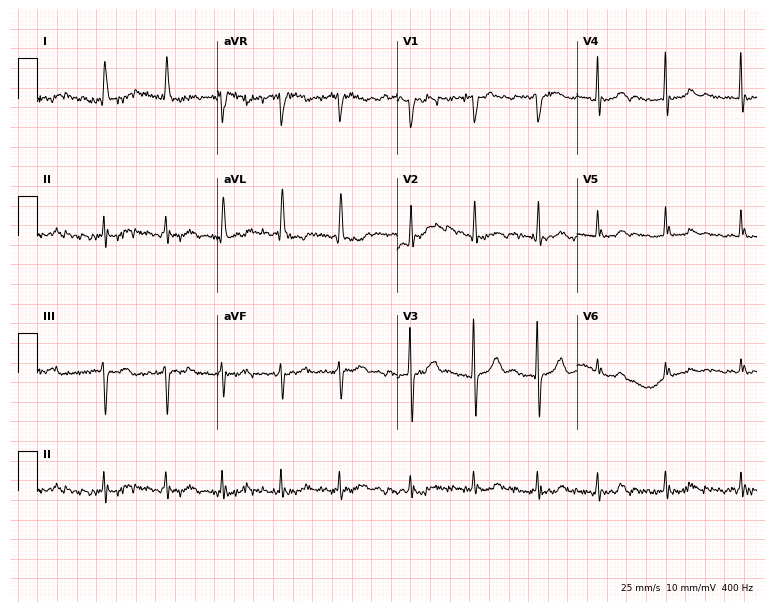
Standard 12-lead ECG recorded from a female patient, 80 years old (7.3-second recording at 400 Hz). The tracing shows atrial fibrillation.